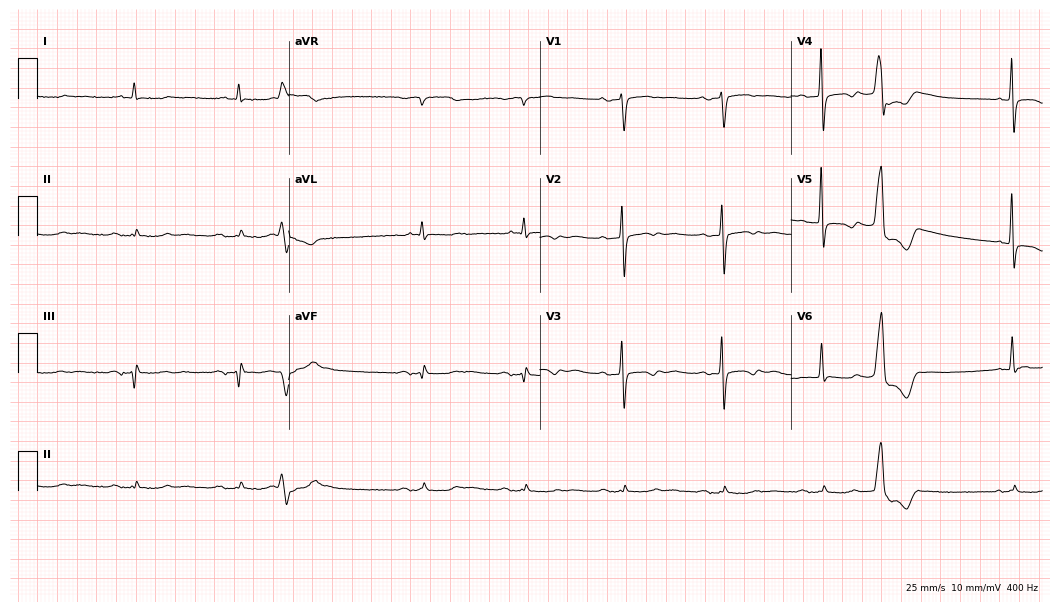
ECG — a male patient, 77 years old. Screened for six findings — first-degree AV block, right bundle branch block, left bundle branch block, sinus bradycardia, atrial fibrillation, sinus tachycardia — none is recorded.